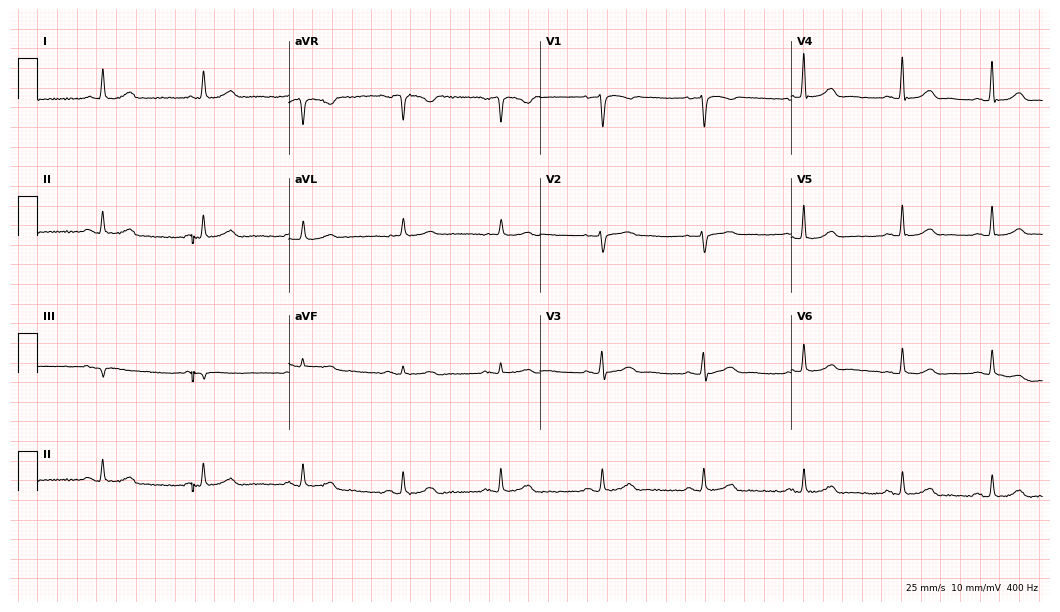
Resting 12-lead electrocardiogram (10.2-second recording at 400 Hz). Patient: an 82-year-old female. Read as a normal ECG.